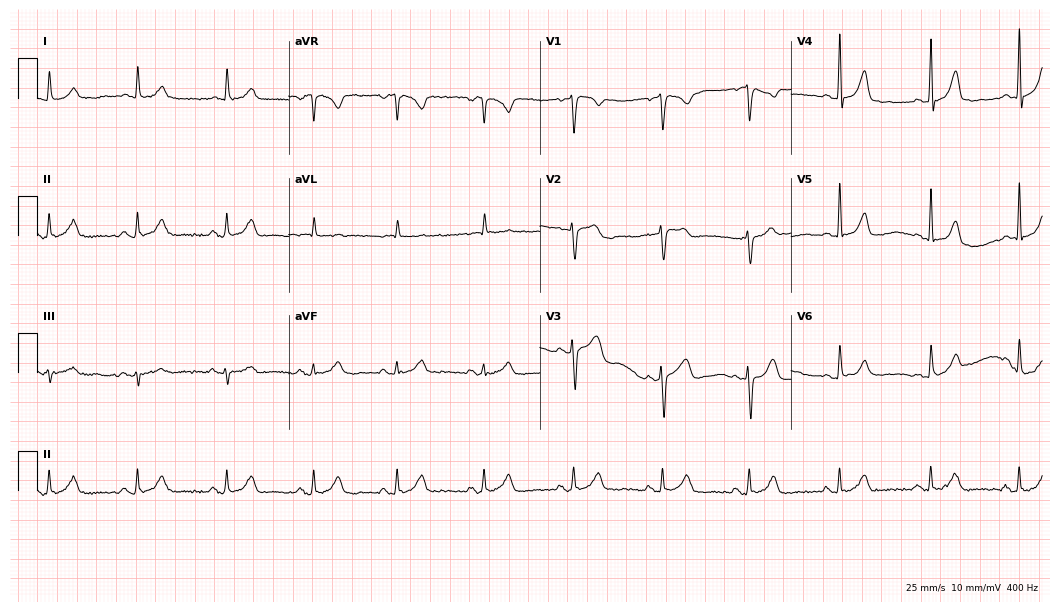
Standard 12-lead ECG recorded from a female, 51 years old (10.2-second recording at 400 Hz). Read as a normal ECG.